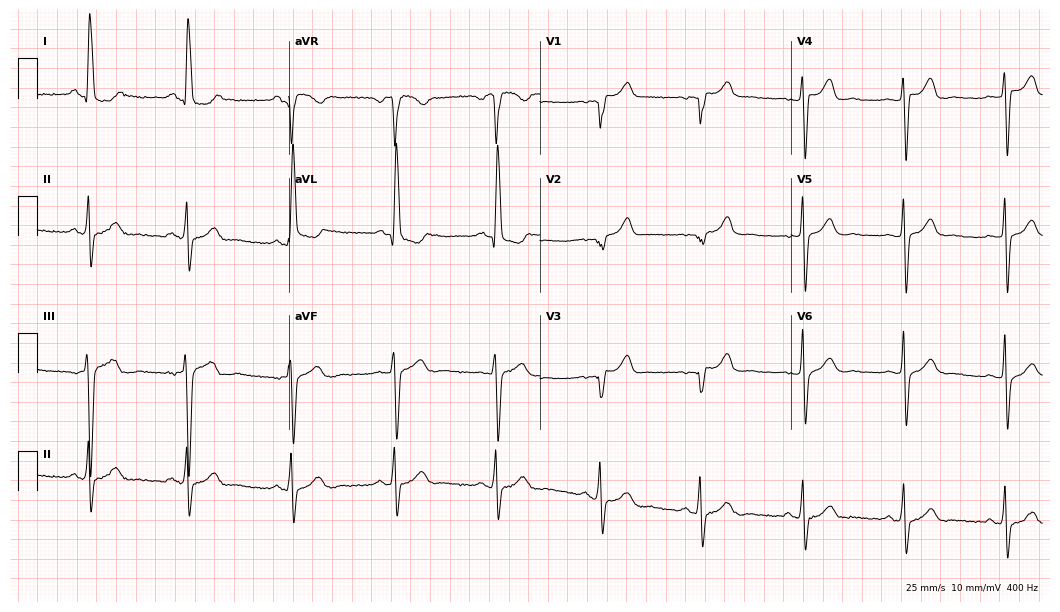
ECG — a female patient, 83 years old. Screened for six findings — first-degree AV block, right bundle branch block, left bundle branch block, sinus bradycardia, atrial fibrillation, sinus tachycardia — none is recorded.